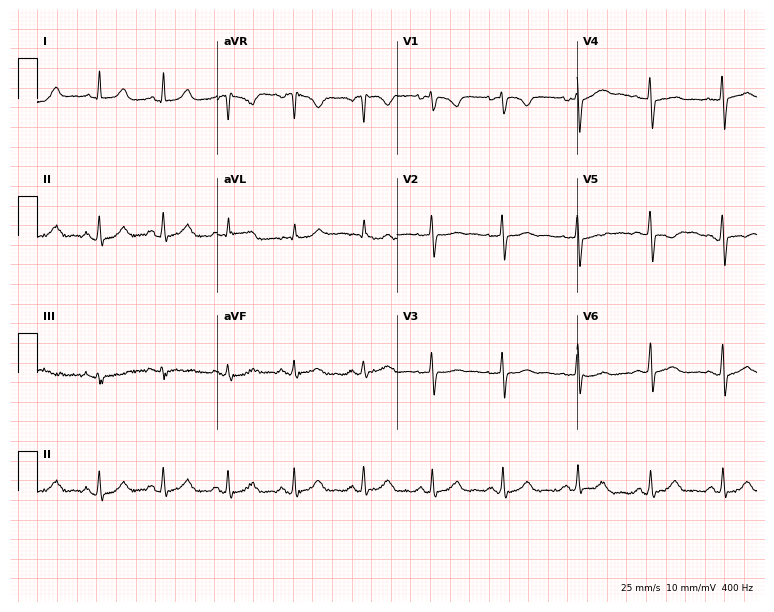
Standard 12-lead ECG recorded from a female, 26 years old (7.3-second recording at 400 Hz). None of these six findings is recorded: first-degree AV block, right bundle branch block, left bundle branch block, sinus bradycardia, atrial fibrillation, sinus tachycardia. Only these six findings were labelled.